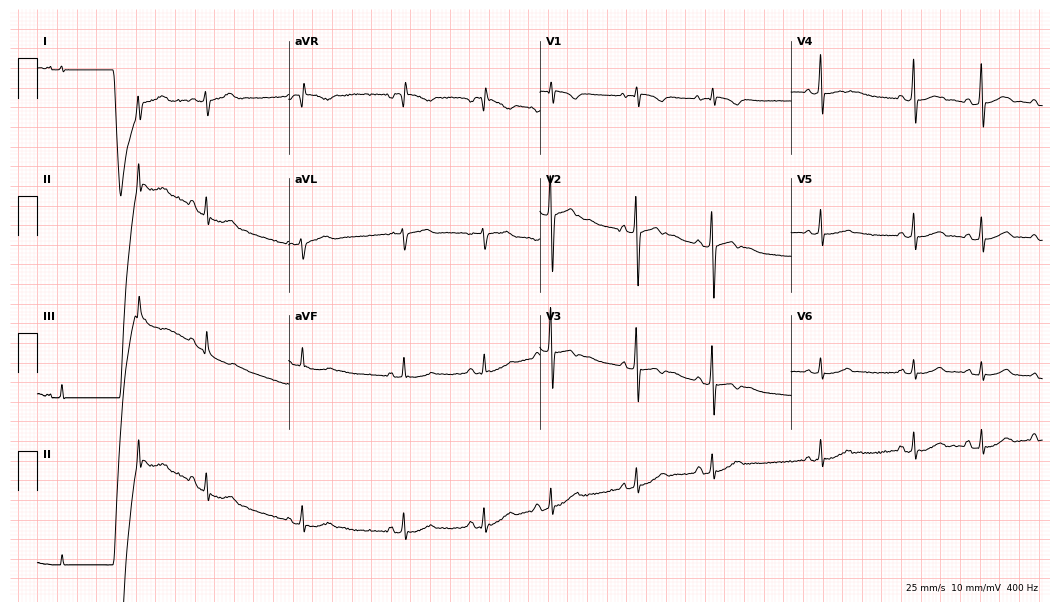
Resting 12-lead electrocardiogram. Patient: a 41-year-old male. None of these six findings is recorded: first-degree AV block, right bundle branch block, left bundle branch block, sinus bradycardia, atrial fibrillation, sinus tachycardia. Findings outside these six are not listed.